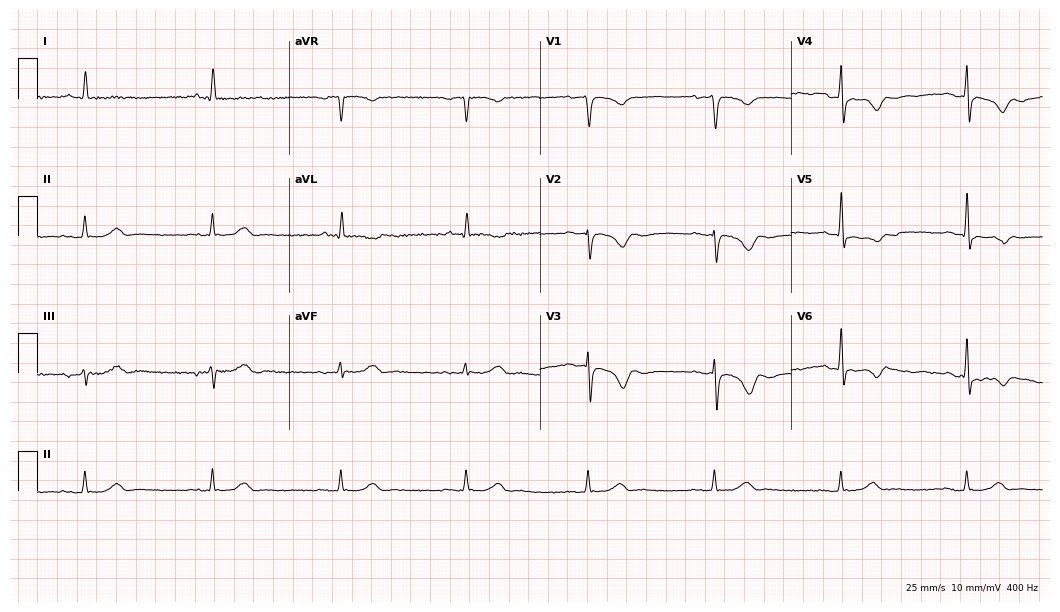
12-lead ECG from a 62-year-old male patient. Findings include sinus bradycardia (a sinus rate of 50 beats per minute or less).